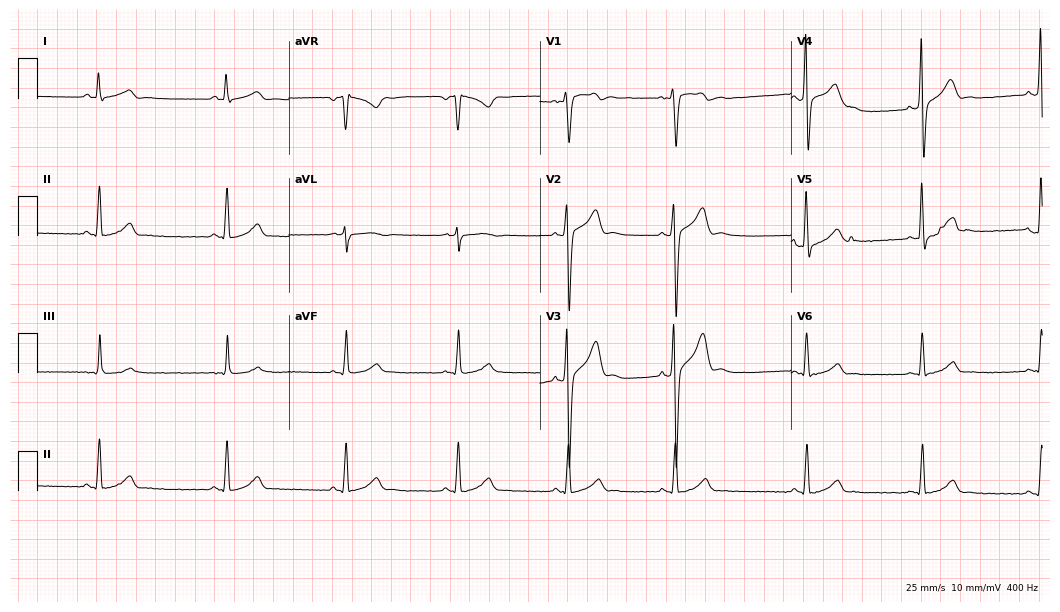
Resting 12-lead electrocardiogram. Patient: a male, 35 years old. None of these six findings is recorded: first-degree AV block, right bundle branch block (RBBB), left bundle branch block (LBBB), sinus bradycardia, atrial fibrillation (AF), sinus tachycardia. Findings outside these six are not listed.